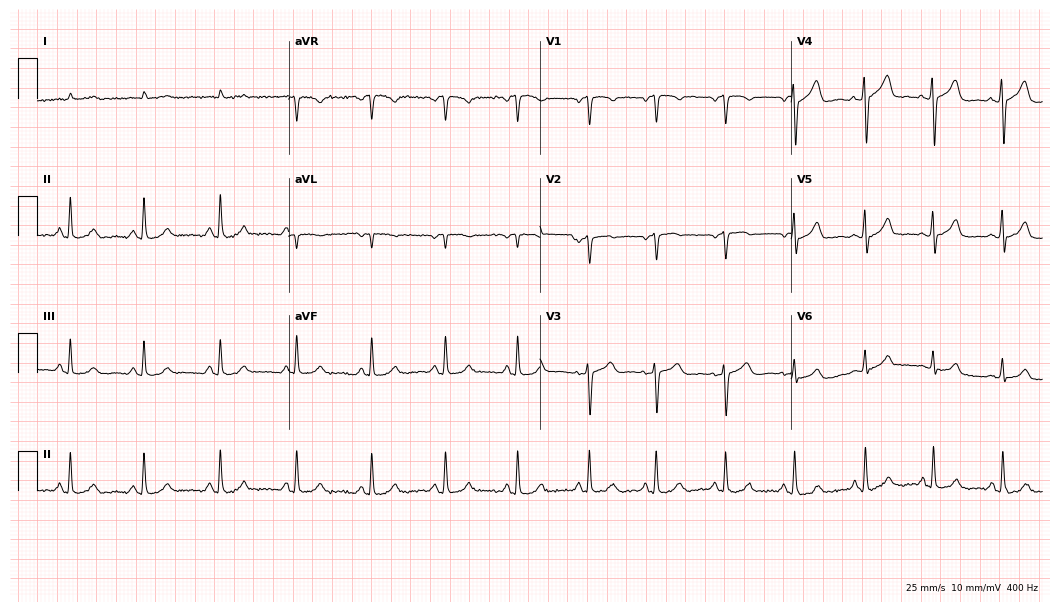
ECG — a male, 53 years old. Screened for six findings — first-degree AV block, right bundle branch block (RBBB), left bundle branch block (LBBB), sinus bradycardia, atrial fibrillation (AF), sinus tachycardia — none is recorded. Findings outside these six are not listed.